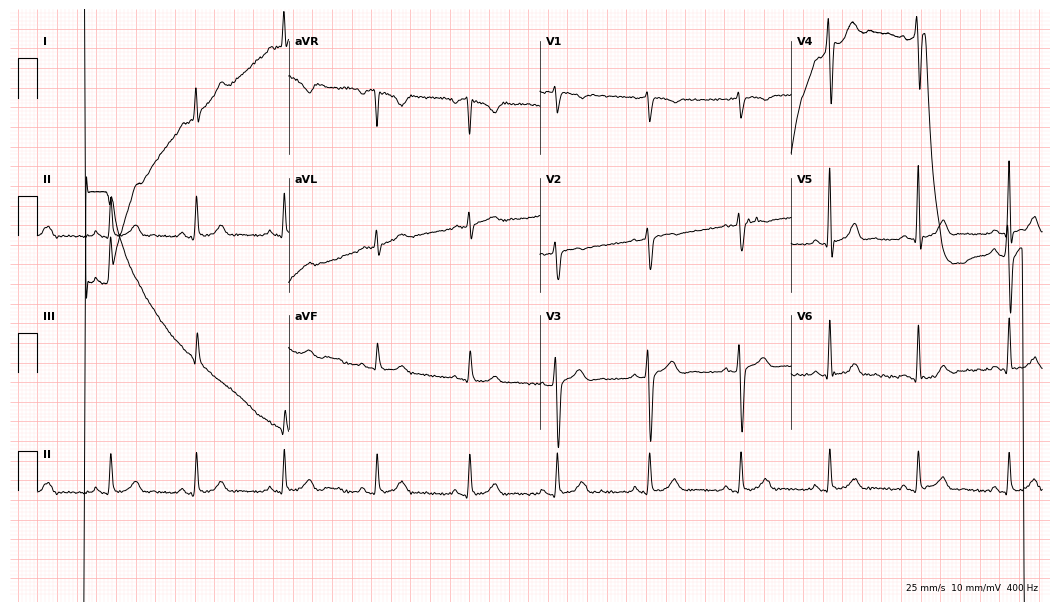
12-lead ECG from a 32-year-old male. No first-degree AV block, right bundle branch block, left bundle branch block, sinus bradycardia, atrial fibrillation or sinus tachycardia recorded for this tracing.